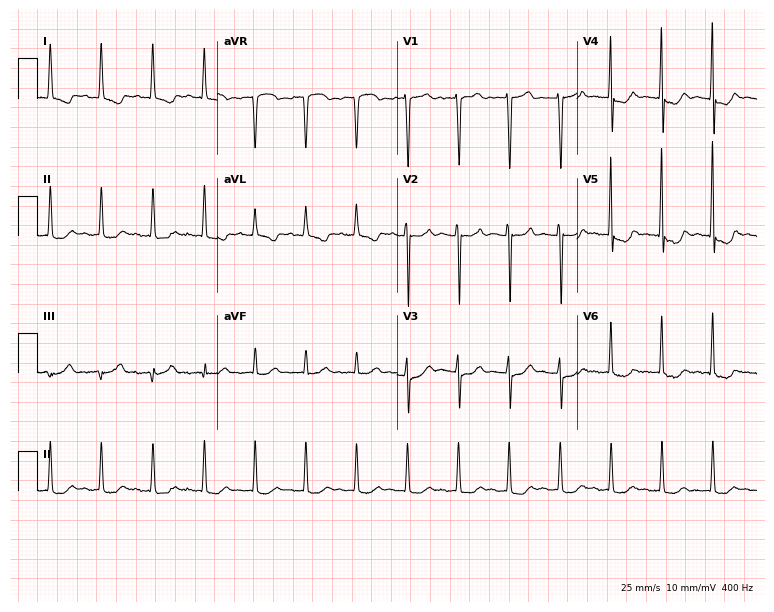
12-lead ECG (7.3-second recording at 400 Hz) from a female patient, 81 years old. Findings include sinus tachycardia (a sinus rate of 100 beats per minute or more).